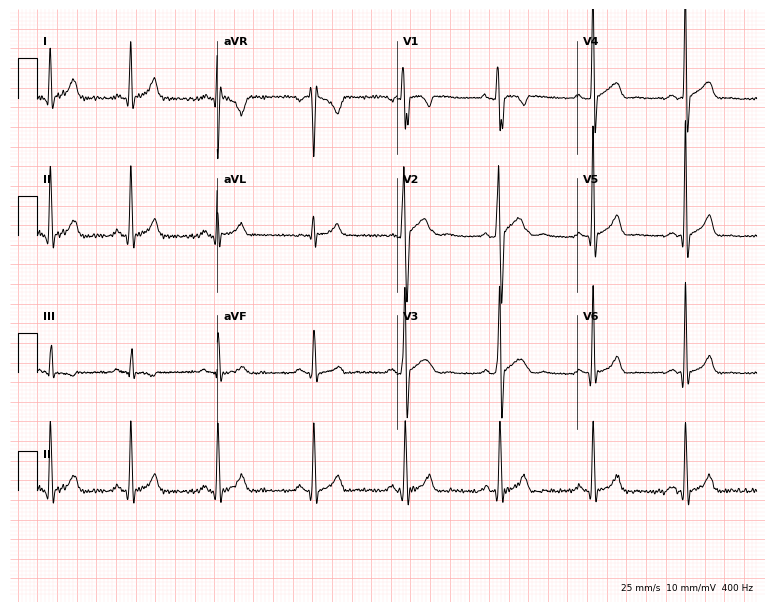
Standard 12-lead ECG recorded from a 22-year-old male patient (7.3-second recording at 400 Hz). Read as a normal ECG.